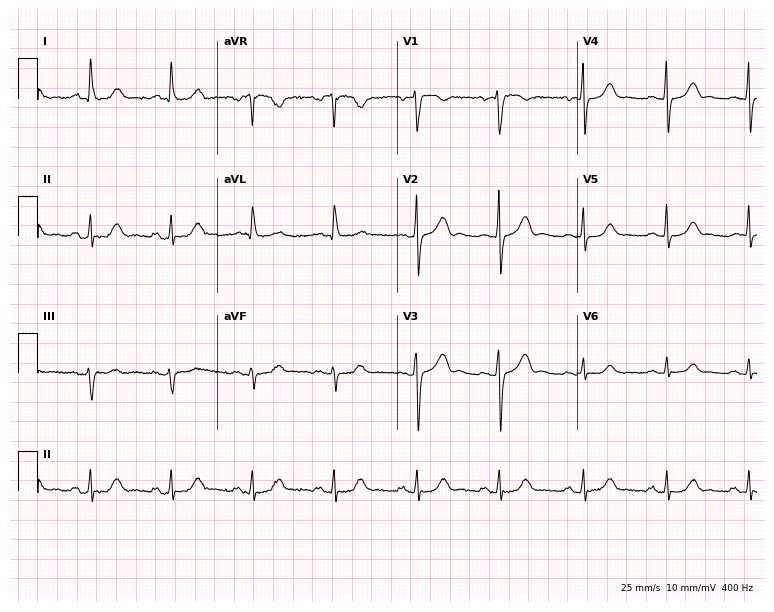
ECG — a 76-year-old woman. Labelled as a normal ECG.